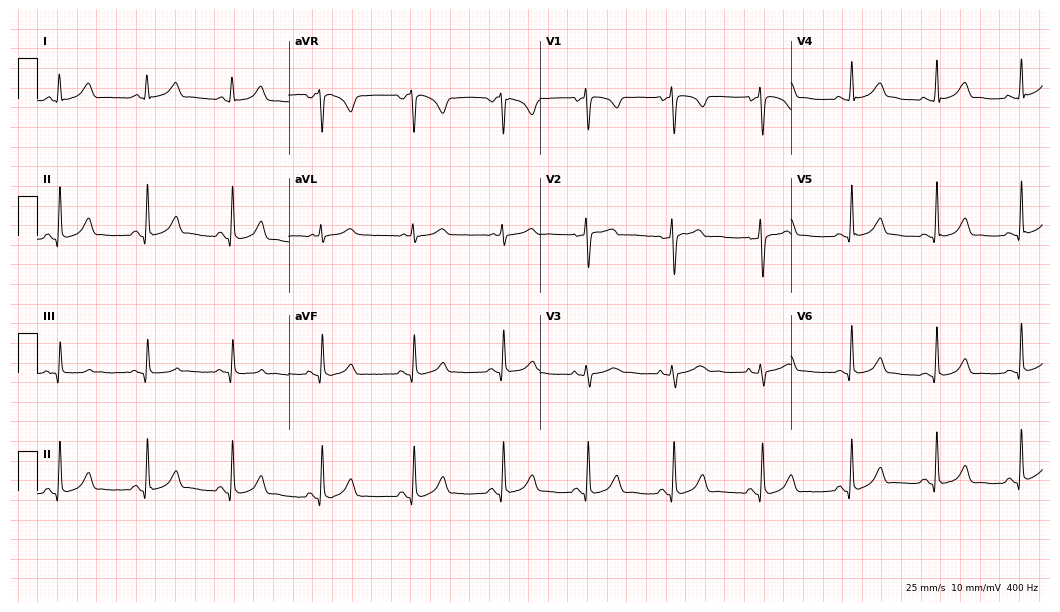
Standard 12-lead ECG recorded from a female patient, 33 years old (10.2-second recording at 400 Hz). Read as a normal ECG.